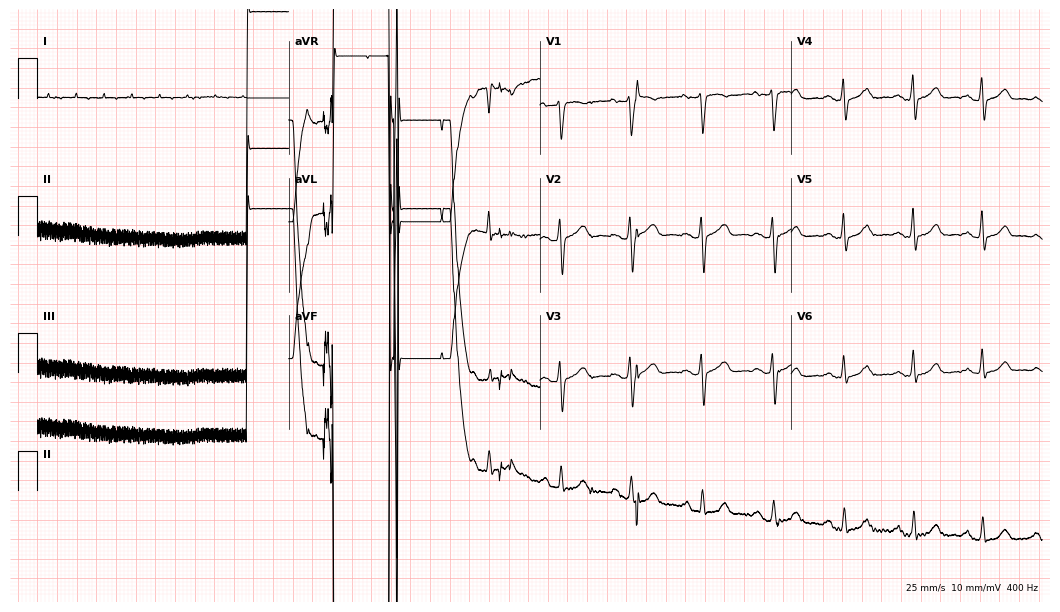
12-lead ECG from a female patient, 46 years old. Screened for six findings — first-degree AV block, right bundle branch block (RBBB), left bundle branch block (LBBB), sinus bradycardia, atrial fibrillation (AF), sinus tachycardia — none is recorded. Other findings, if any, are not listed.